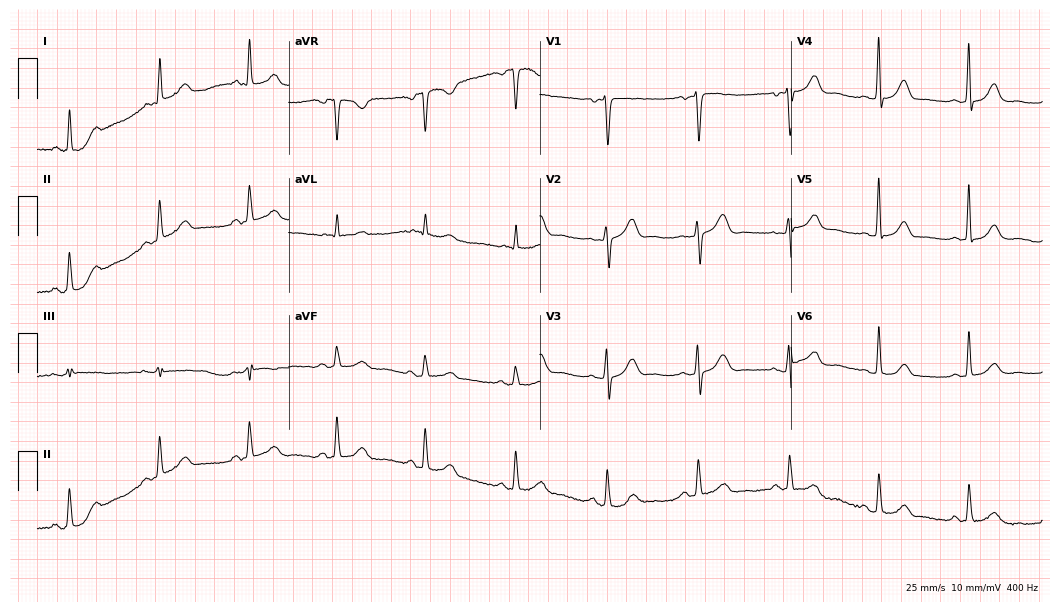
Standard 12-lead ECG recorded from a woman, 64 years old. Read as a normal ECG.